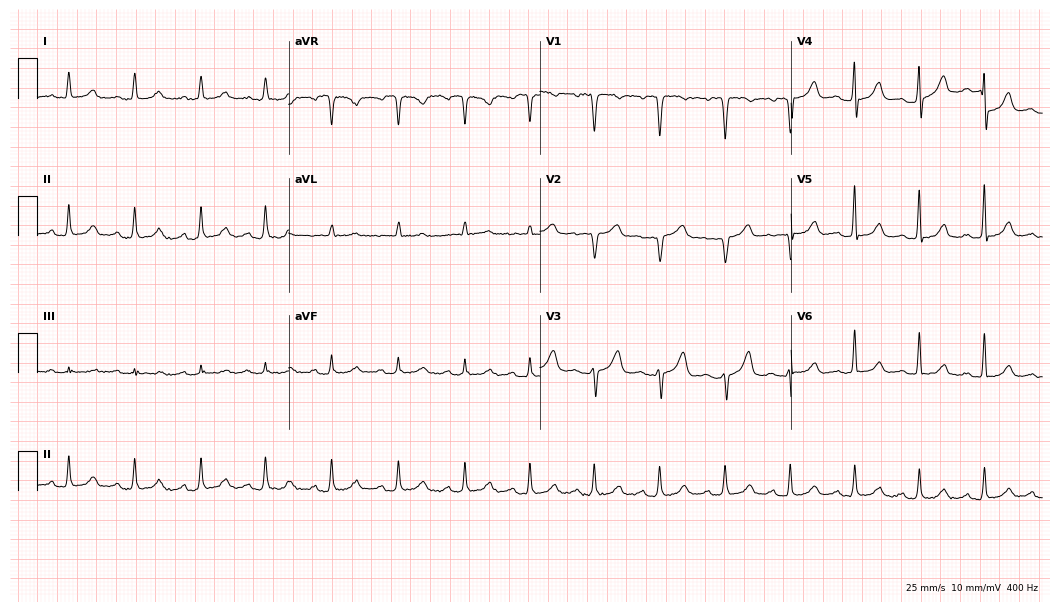
ECG (10.2-second recording at 400 Hz) — a female, 54 years old. Labelled as a normal ECG.